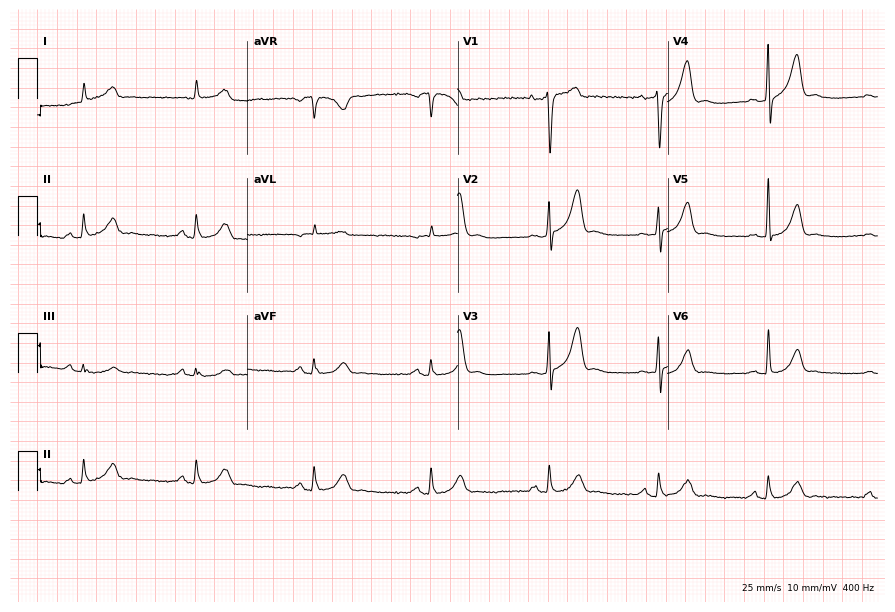
12-lead ECG from a 67-year-old man (8.6-second recording at 400 Hz). No first-degree AV block, right bundle branch block, left bundle branch block, sinus bradycardia, atrial fibrillation or sinus tachycardia recorded for this tracing. Other findings, if any, are not listed.